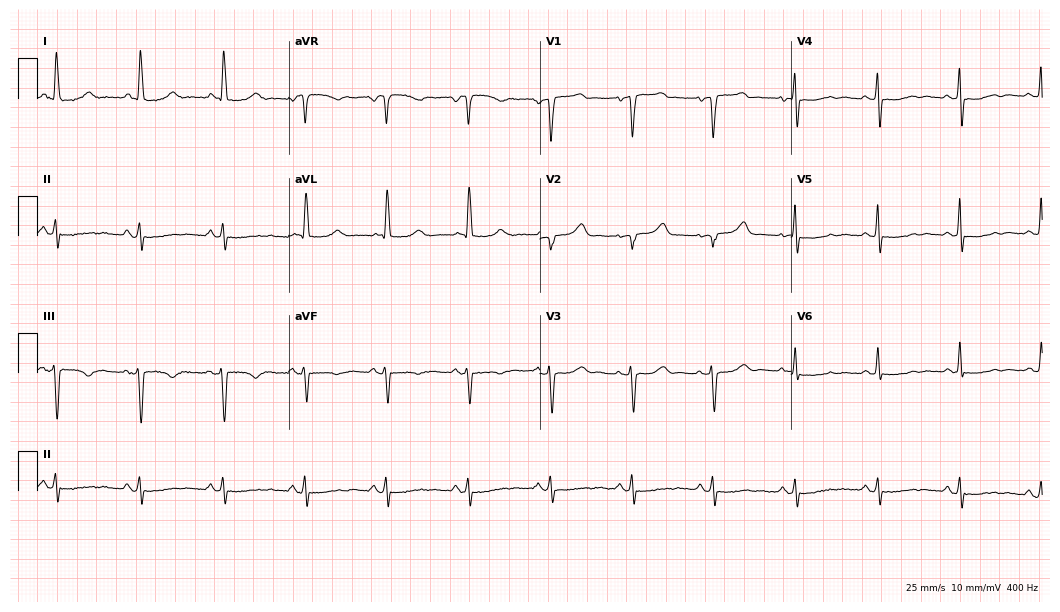
Standard 12-lead ECG recorded from a female patient, 58 years old (10.2-second recording at 400 Hz). None of these six findings is recorded: first-degree AV block, right bundle branch block (RBBB), left bundle branch block (LBBB), sinus bradycardia, atrial fibrillation (AF), sinus tachycardia.